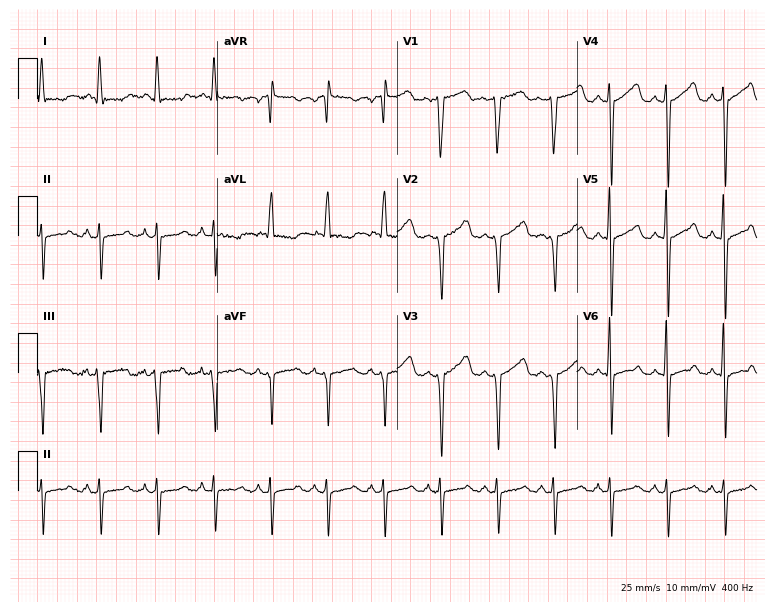
Electrocardiogram (7.3-second recording at 400 Hz), a female, 48 years old. Of the six screened findings (first-degree AV block, right bundle branch block (RBBB), left bundle branch block (LBBB), sinus bradycardia, atrial fibrillation (AF), sinus tachycardia), none is recorded.